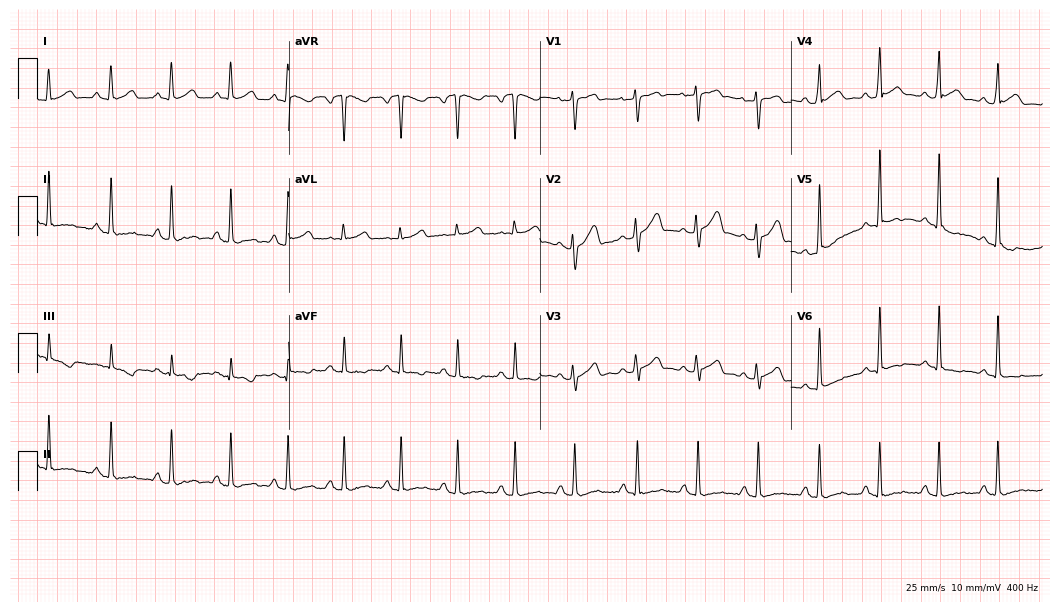
Standard 12-lead ECG recorded from a 22-year-old male (10.2-second recording at 400 Hz). Read as a normal ECG.